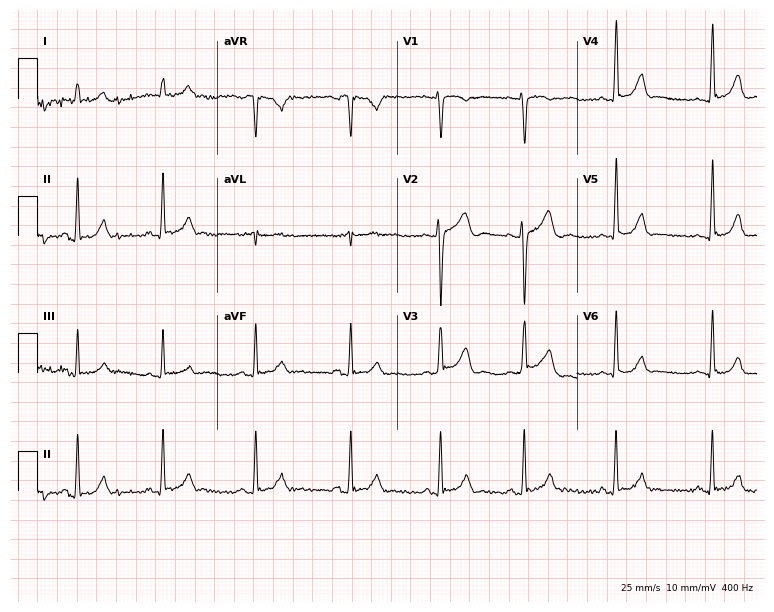
Electrocardiogram, a 31-year-old female patient. Overall reading on record: normal ECG.